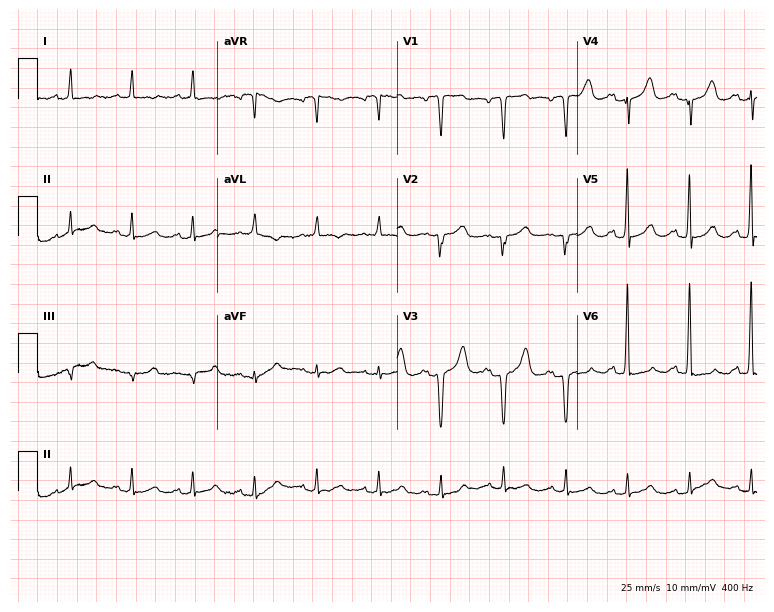
Standard 12-lead ECG recorded from a 74-year-old female (7.3-second recording at 400 Hz). None of these six findings is recorded: first-degree AV block, right bundle branch block (RBBB), left bundle branch block (LBBB), sinus bradycardia, atrial fibrillation (AF), sinus tachycardia.